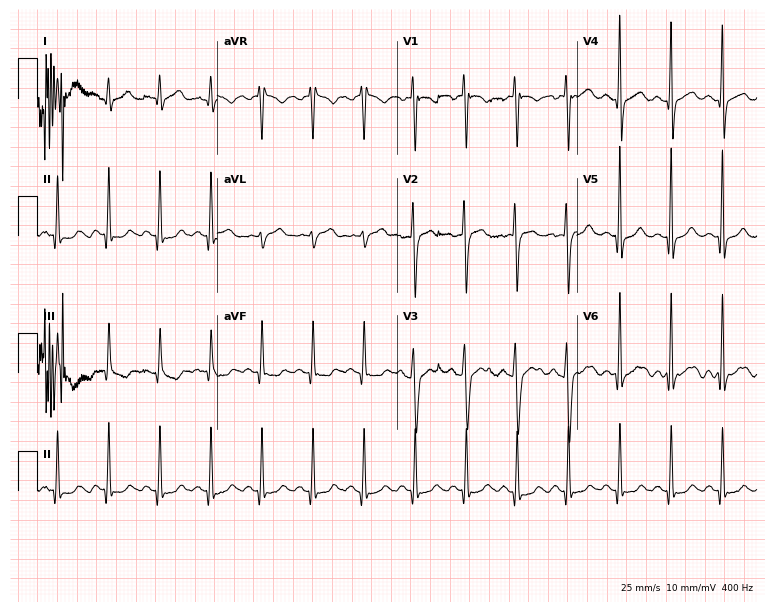
Standard 12-lead ECG recorded from a male, 25 years old. The tracing shows sinus tachycardia (a sinus rate of 100 beats per minute or more).